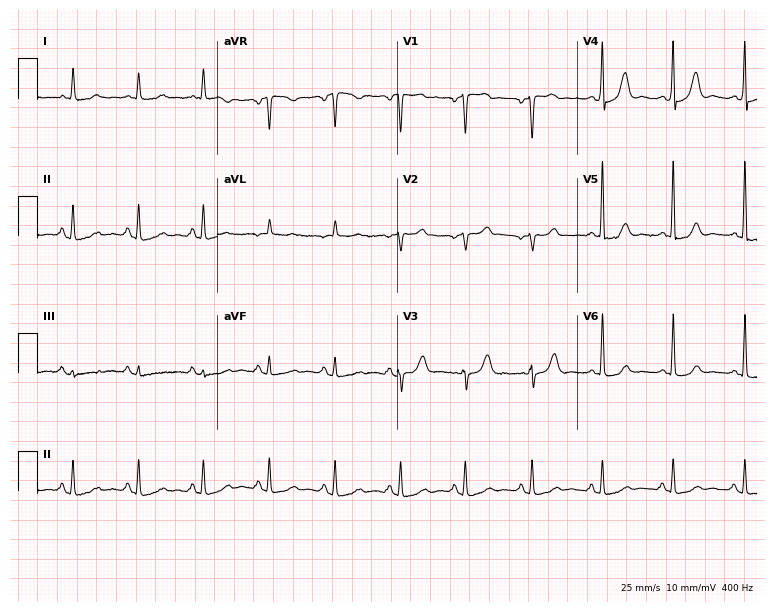
ECG (7.3-second recording at 400 Hz) — a female, 50 years old. Labelled as a normal ECG.